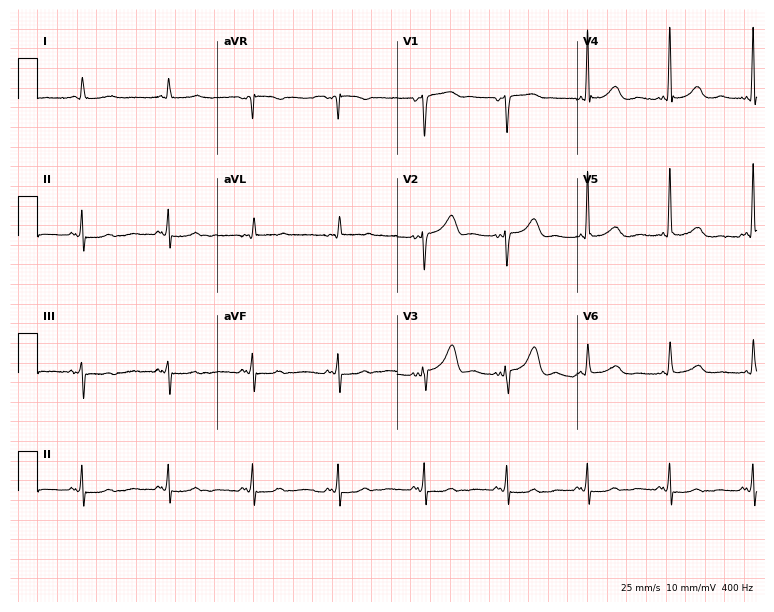
Electrocardiogram (7.3-second recording at 400 Hz), a male, 77 years old. Overall reading on record: normal ECG.